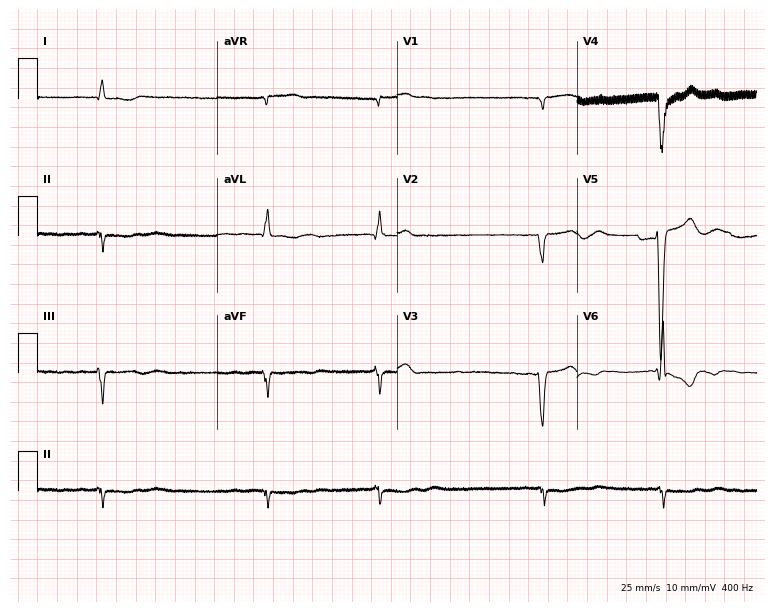
Resting 12-lead electrocardiogram. Patient: a 73-year-old female. The tracing shows atrial fibrillation.